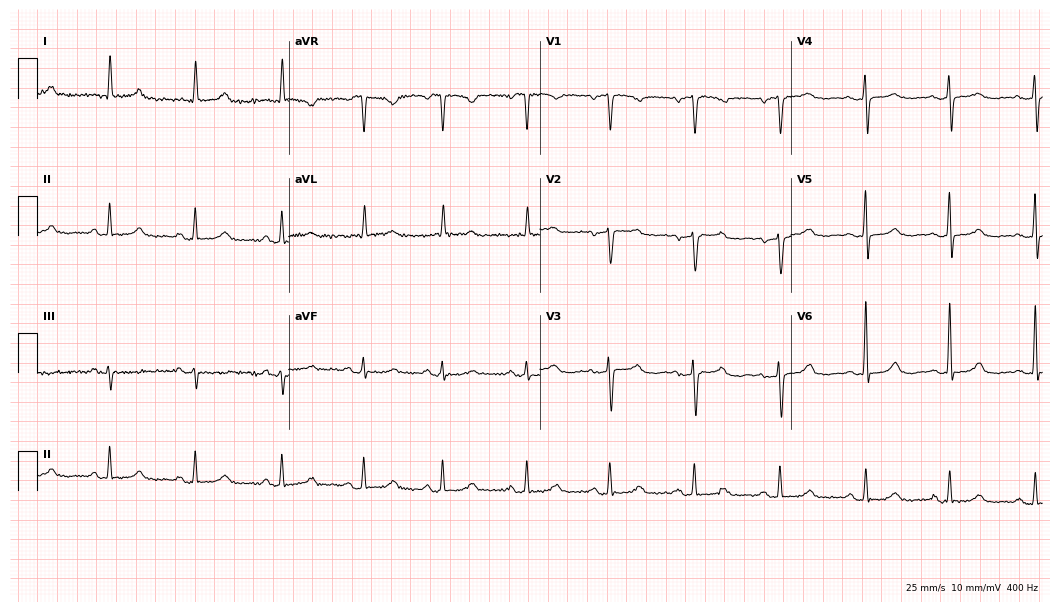
Resting 12-lead electrocardiogram. Patient: an 84-year-old female. Read as a normal ECG.